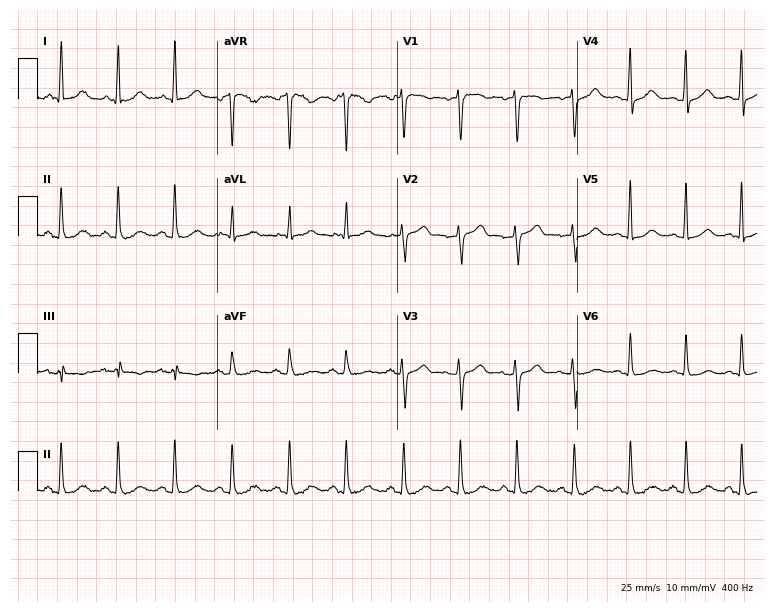
12-lead ECG (7.3-second recording at 400 Hz) from a female patient, 50 years old. Labelled as a normal ECG.